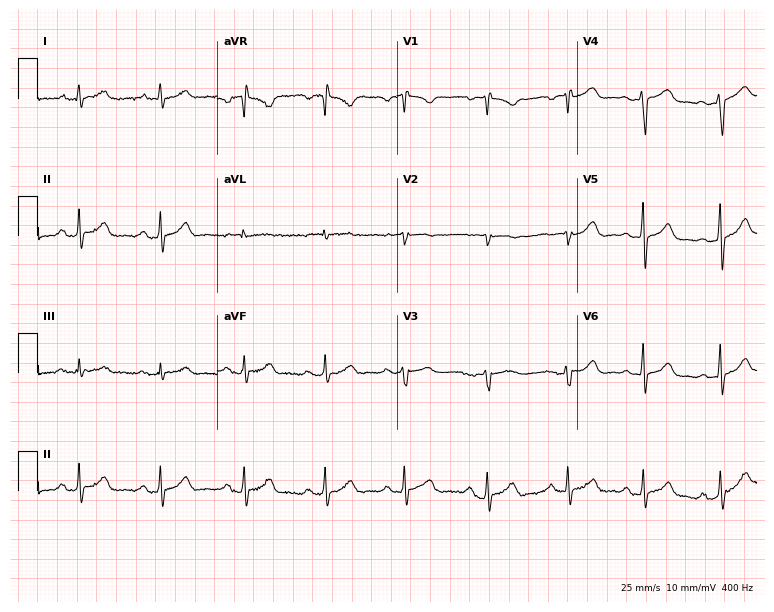
Electrocardiogram (7.3-second recording at 400 Hz), a woman, 63 years old. Overall reading on record: normal ECG.